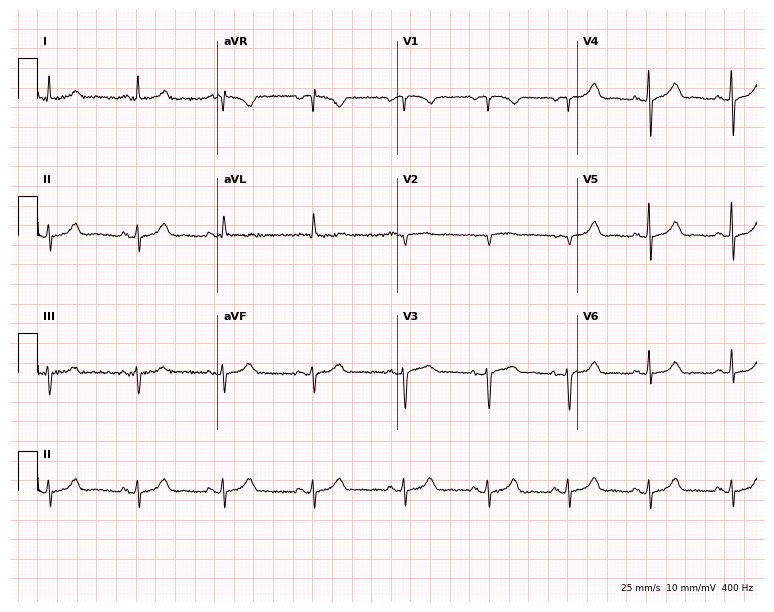
ECG (7.3-second recording at 400 Hz) — a woman, 63 years old. Screened for six findings — first-degree AV block, right bundle branch block, left bundle branch block, sinus bradycardia, atrial fibrillation, sinus tachycardia — none is recorded.